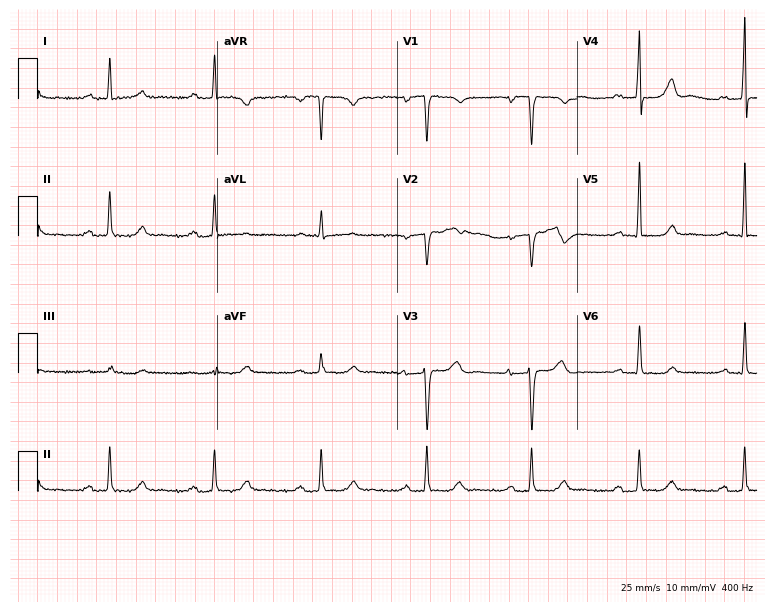
12-lead ECG (7.3-second recording at 400 Hz) from a female, 51 years old. Findings include first-degree AV block.